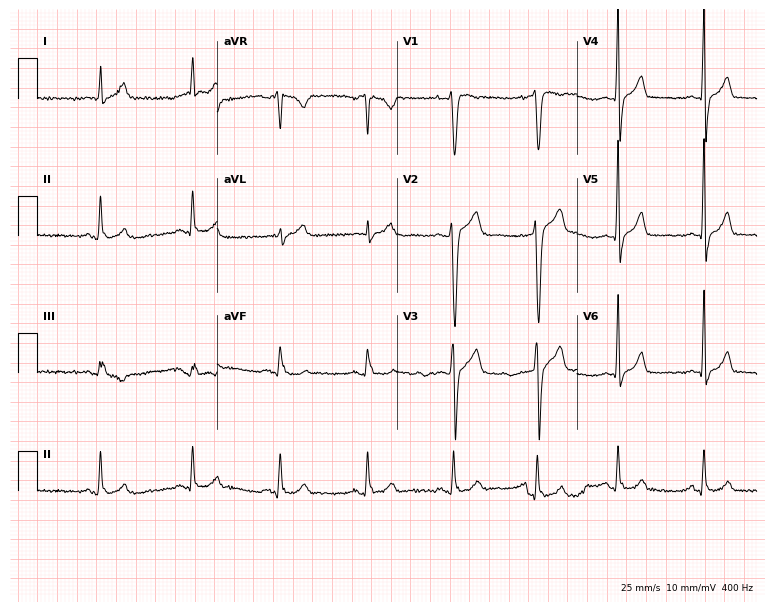
12-lead ECG from a 38-year-old man. Screened for six findings — first-degree AV block, right bundle branch block, left bundle branch block, sinus bradycardia, atrial fibrillation, sinus tachycardia — none is recorded.